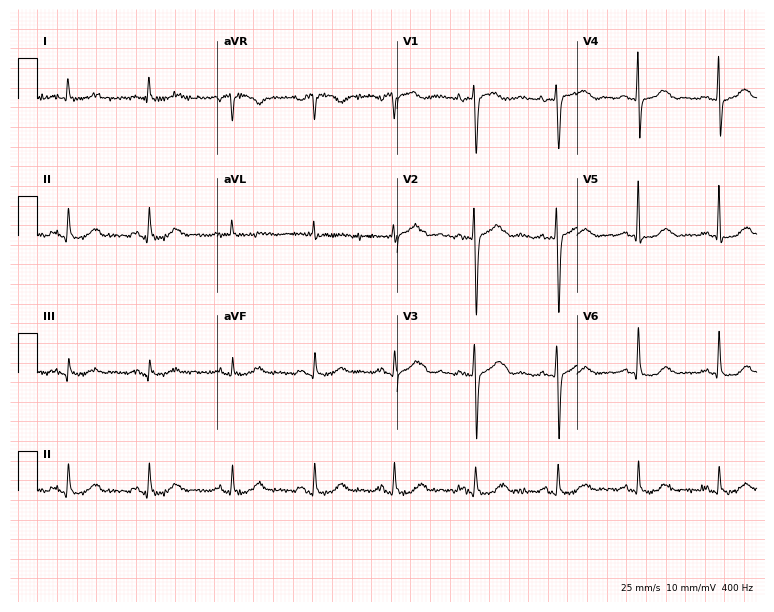
12-lead ECG from a 66-year-old female patient. Recorded interpretation: within normal limits.